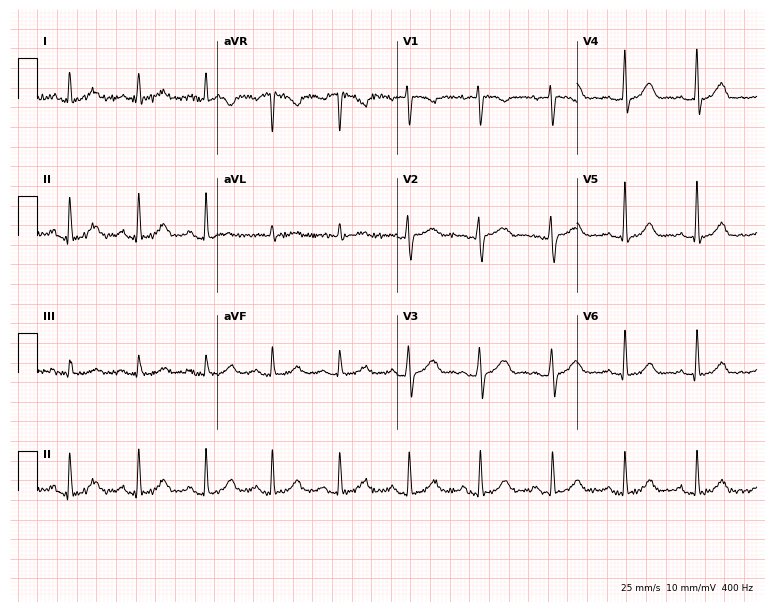
12-lead ECG from a female, 48 years old (7.3-second recording at 400 Hz). No first-degree AV block, right bundle branch block, left bundle branch block, sinus bradycardia, atrial fibrillation or sinus tachycardia recorded for this tracing. Only these six findings were labelled.